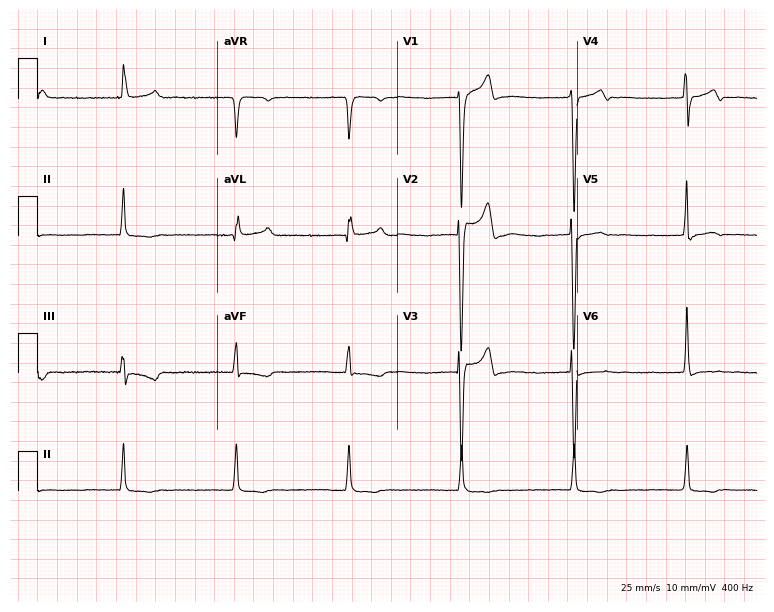
Standard 12-lead ECG recorded from a 35-year-old man (7.3-second recording at 400 Hz). None of these six findings is recorded: first-degree AV block, right bundle branch block (RBBB), left bundle branch block (LBBB), sinus bradycardia, atrial fibrillation (AF), sinus tachycardia.